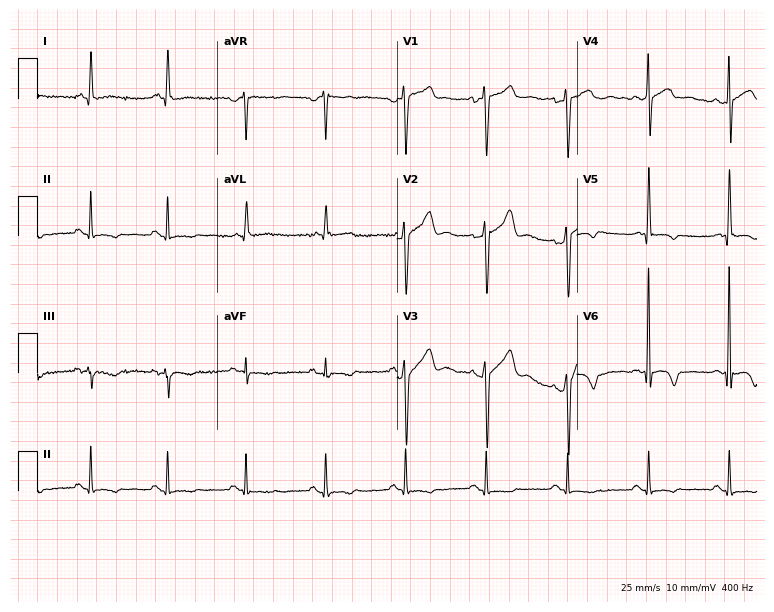
Resting 12-lead electrocardiogram (7.3-second recording at 400 Hz). Patient: a male, 57 years old. None of these six findings is recorded: first-degree AV block, right bundle branch block (RBBB), left bundle branch block (LBBB), sinus bradycardia, atrial fibrillation (AF), sinus tachycardia. Other findings, if any, are not listed.